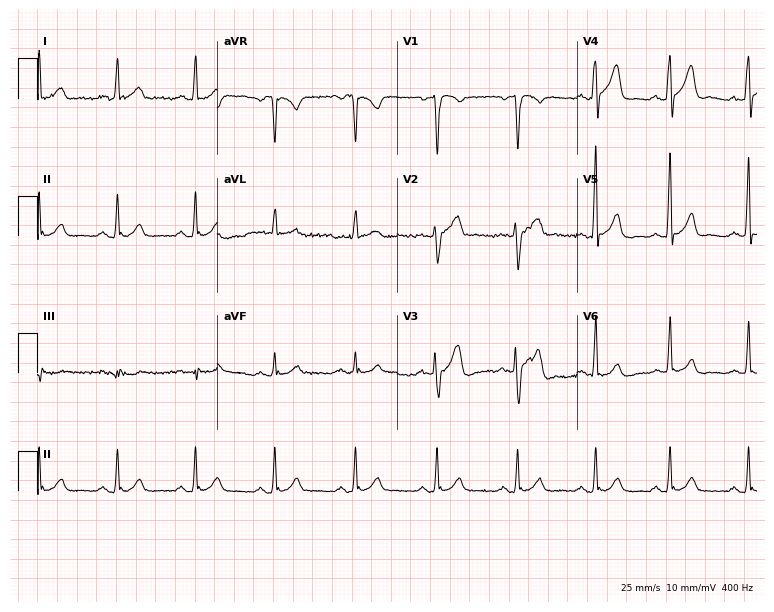
12-lead ECG from a 40-year-old male patient (7.3-second recording at 400 Hz). Recorded interpretation: within normal limits.